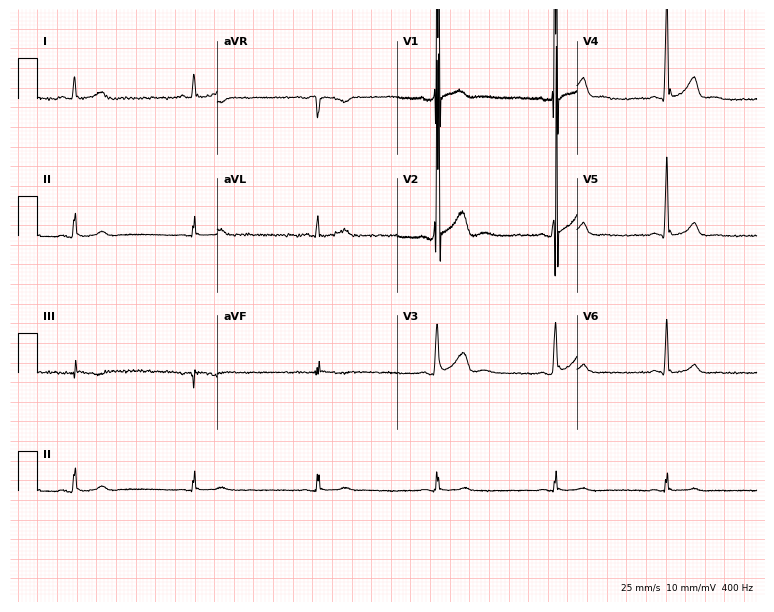
Standard 12-lead ECG recorded from a 22-year-old man (7.3-second recording at 400 Hz). None of these six findings is recorded: first-degree AV block, right bundle branch block (RBBB), left bundle branch block (LBBB), sinus bradycardia, atrial fibrillation (AF), sinus tachycardia. Findings outside these six are not listed.